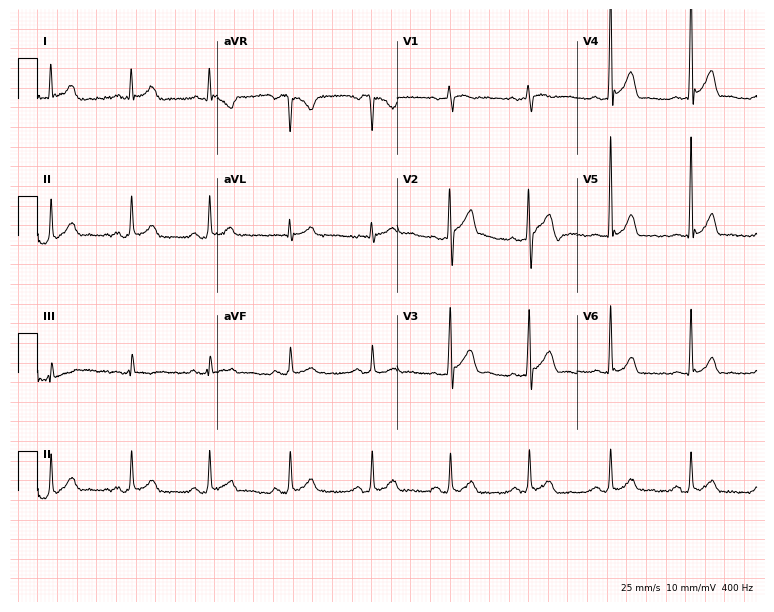
Electrocardiogram, a 43-year-old man. Of the six screened findings (first-degree AV block, right bundle branch block, left bundle branch block, sinus bradycardia, atrial fibrillation, sinus tachycardia), none is recorded.